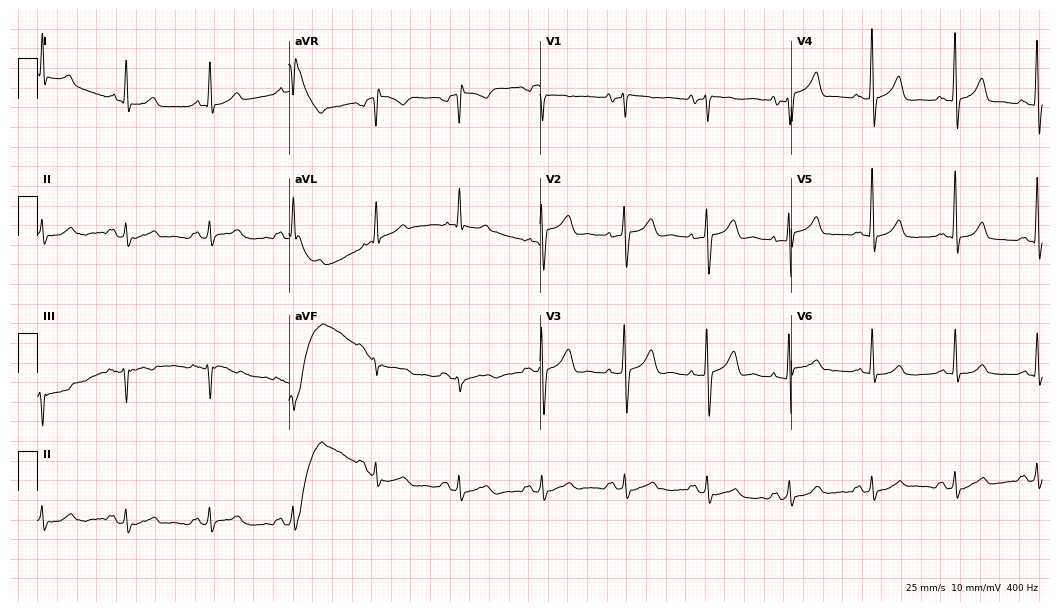
ECG (10.2-second recording at 400 Hz) — a male, 78 years old. Labelled as a normal ECG.